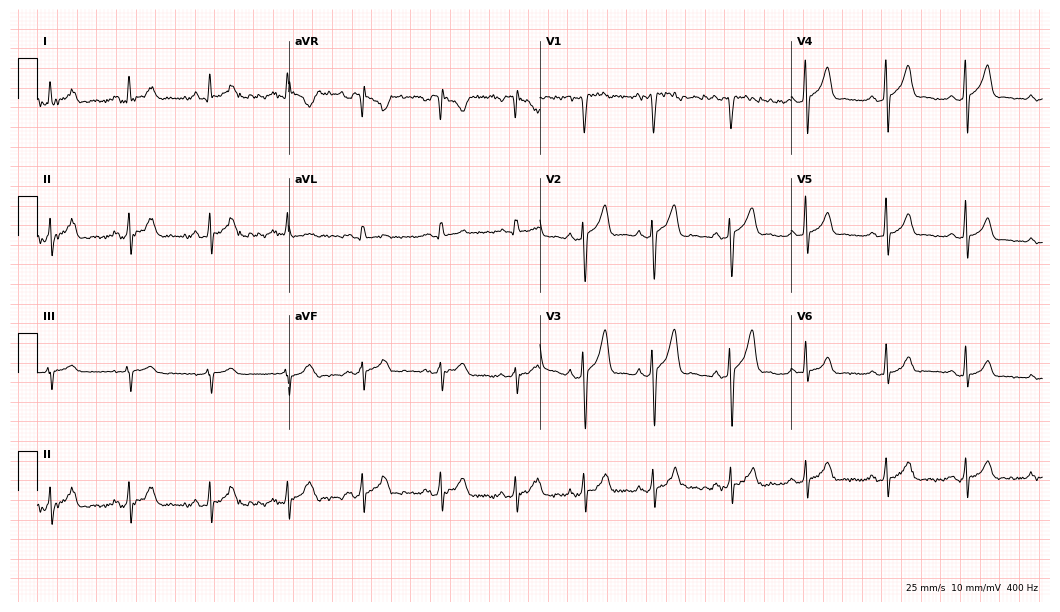
Standard 12-lead ECG recorded from a man, 23 years old. None of these six findings is recorded: first-degree AV block, right bundle branch block (RBBB), left bundle branch block (LBBB), sinus bradycardia, atrial fibrillation (AF), sinus tachycardia. Other findings, if any, are not listed.